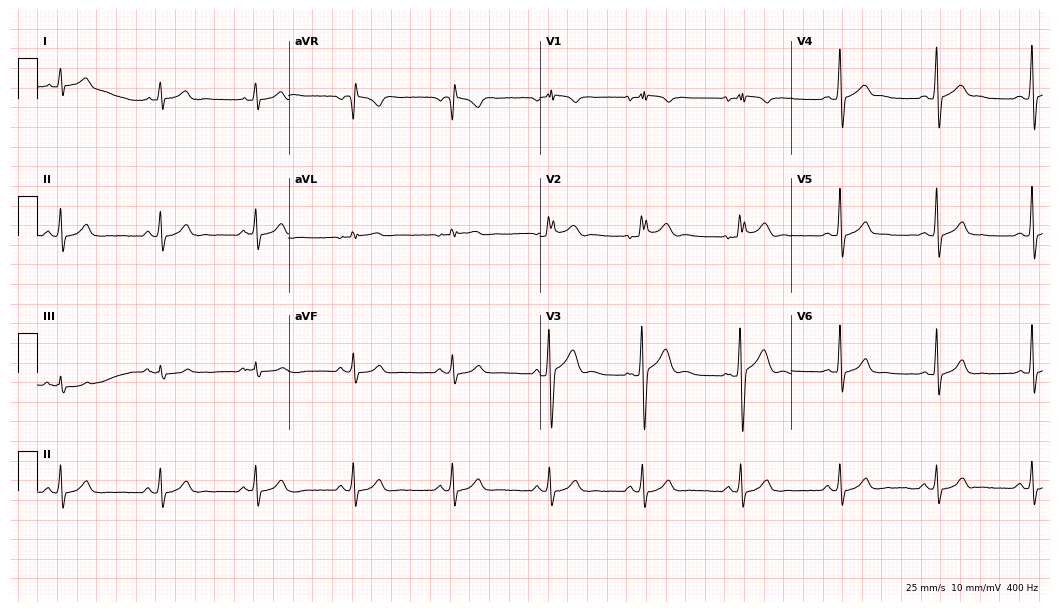
Electrocardiogram (10.2-second recording at 400 Hz), a male patient, 20 years old. Overall reading on record: normal ECG.